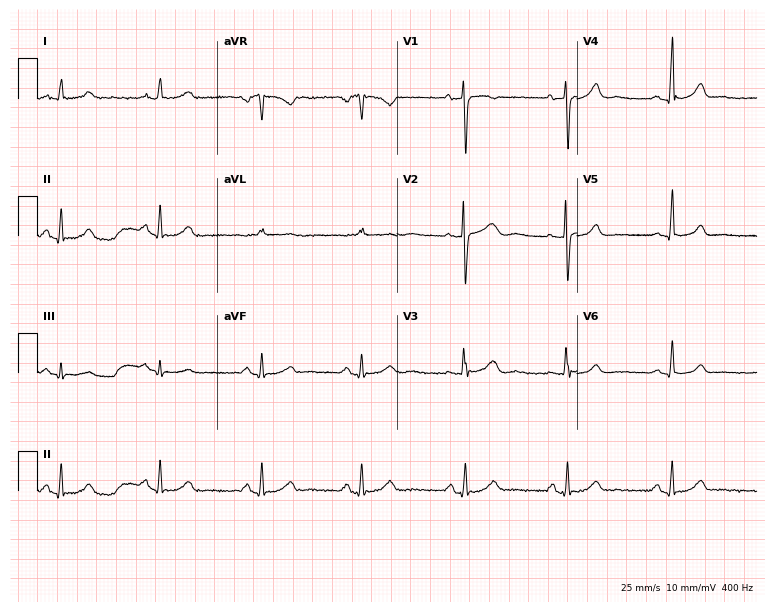
ECG (7.3-second recording at 400 Hz) — a 52-year-old female. Labelled as a normal ECG.